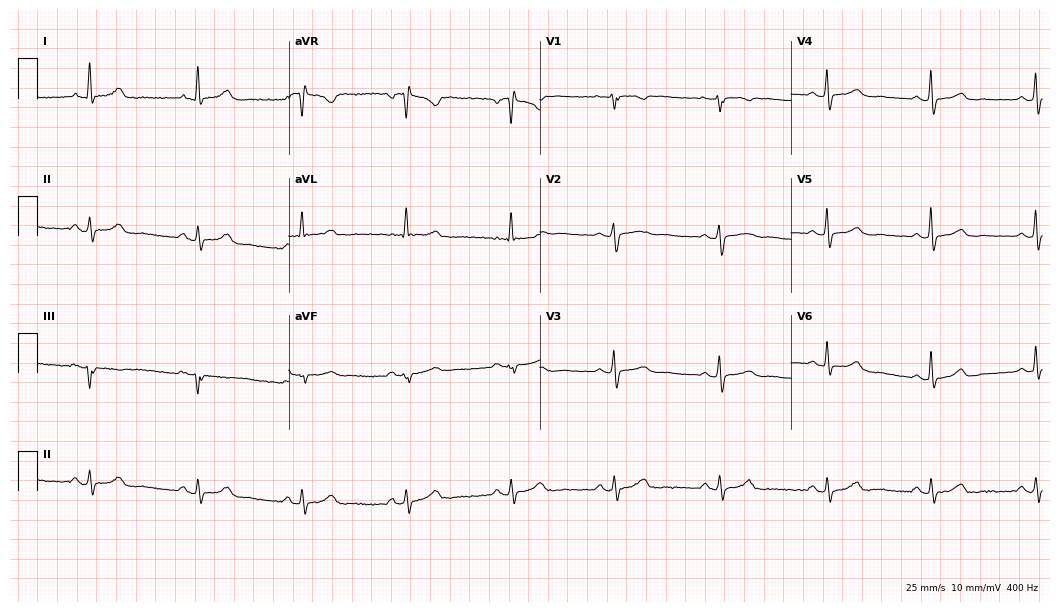
12-lead ECG (10.2-second recording at 400 Hz) from a 62-year-old female. Labelled as a normal ECG.